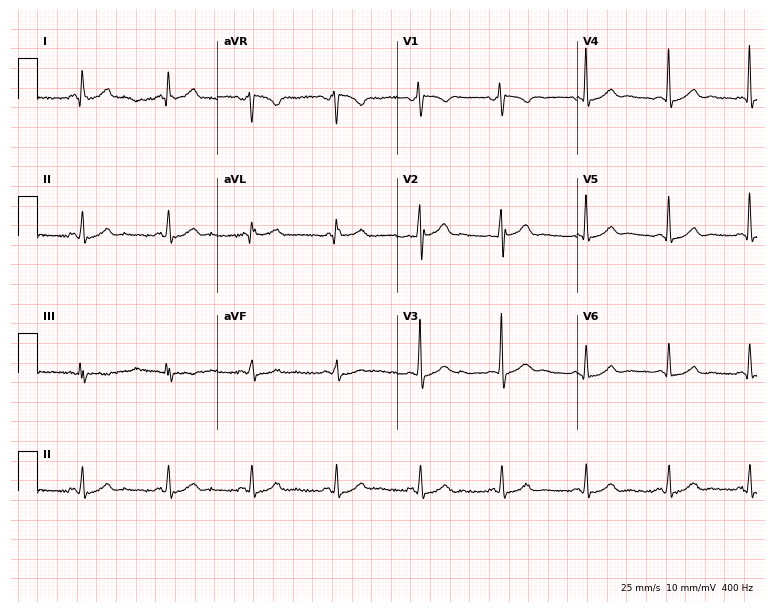
Electrocardiogram (7.3-second recording at 400 Hz), a 41-year-old male. Of the six screened findings (first-degree AV block, right bundle branch block, left bundle branch block, sinus bradycardia, atrial fibrillation, sinus tachycardia), none is recorded.